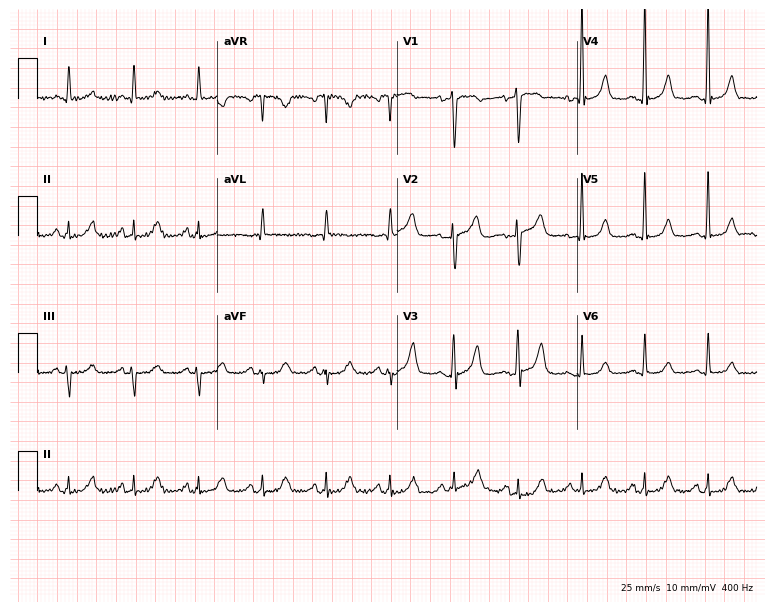
12-lead ECG from a female patient, 51 years old (7.3-second recording at 400 Hz). Recorded interpretation: within normal limits.